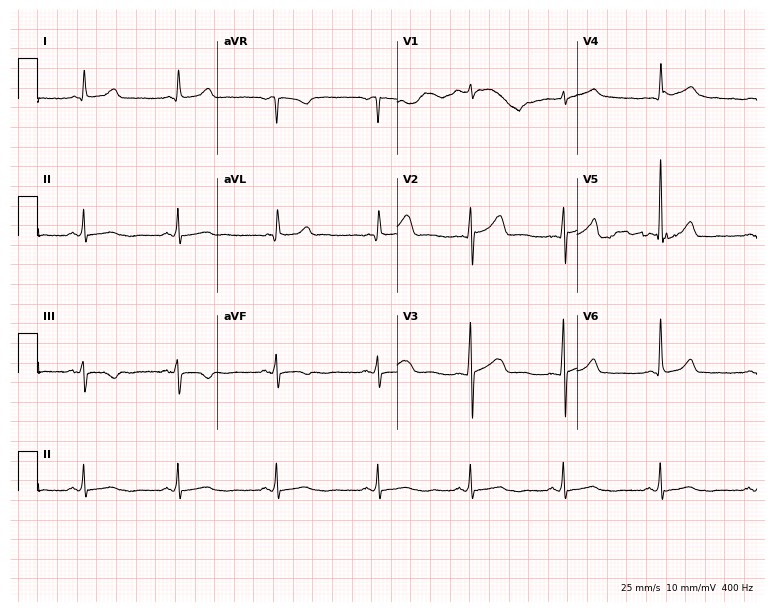
Resting 12-lead electrocardiogram (7.3-second recording at 400 Hz). Patient: a 41-year-old woman. None of these six findings is recorded: first-degree AV block, right bundle branch block (RBBB), left bundle branch block (LBBB), sinus bradycardia, atrial fibrillation (AF), sinus tachycardia. Other findings, if any, are not listed.